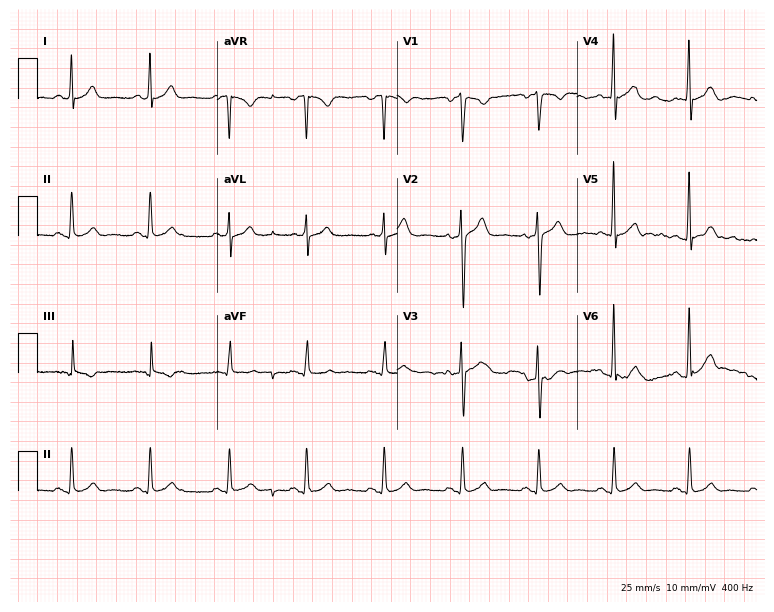
Electrocardiogram (7.3-second recording at 400 Hz), a 37-year-old male. Overall reading on record: normal ECG.